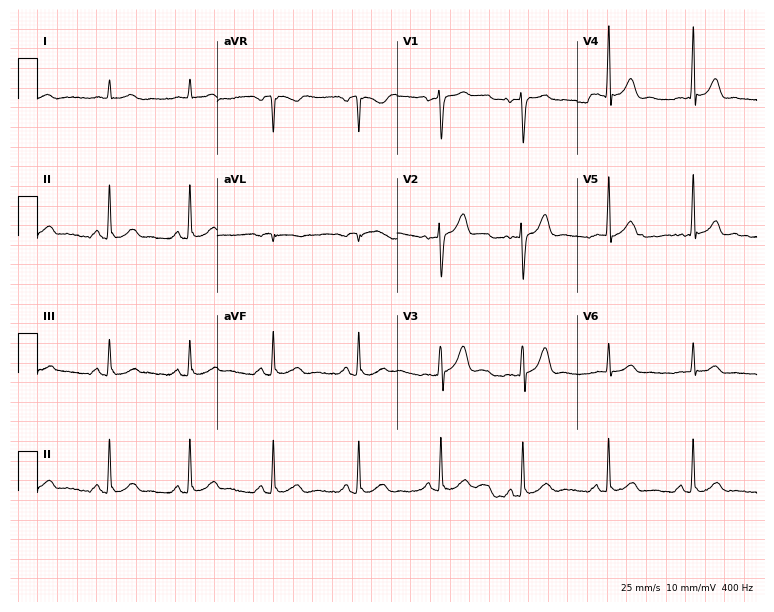
Electrocardiogram, a 48-year-old male patient. Overall reading on record: normal ECG.